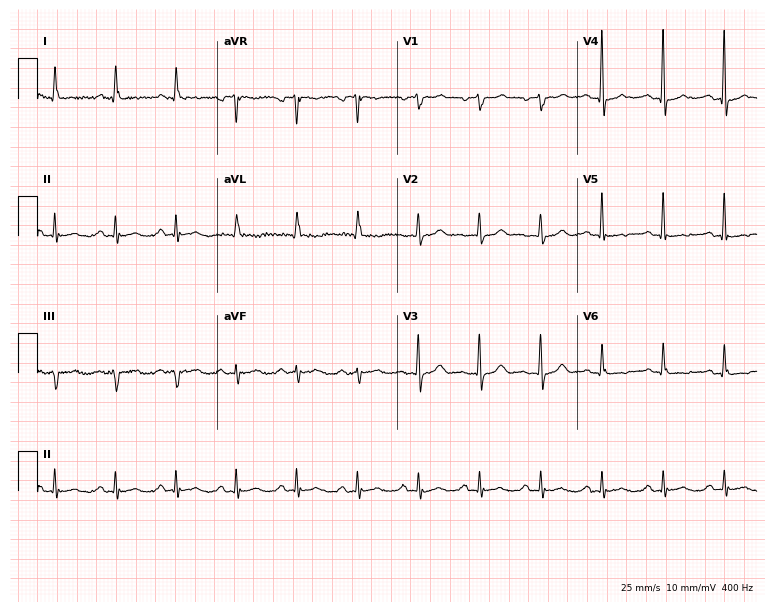
ECG (7.3-second recording at 400 Hz) — a female, 74 years old. Labelled as a normal ECG.